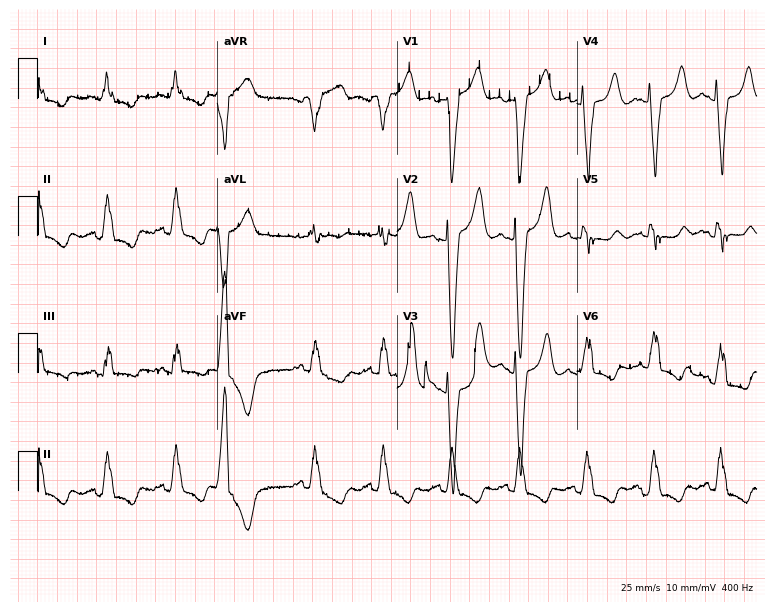
Standard 12-lead ECG recorded from a 71-year-old woman (7.3-second recording at 400 Hz). The tracing shows left bundle branch block (LBBB).